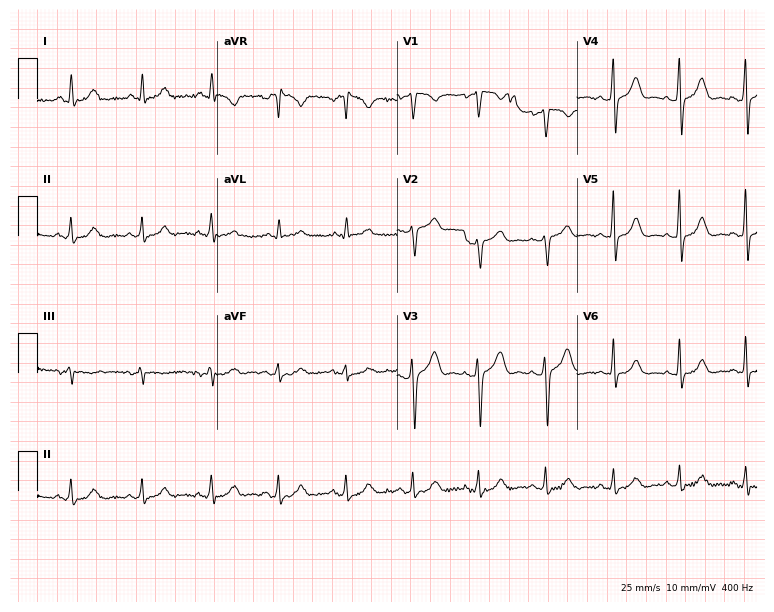
12-lead ECG from a woman, 39 years old (7.3-second recording at 400 Hz). No first-degree AV block, right bundle branch block (RBBB), left bundle branch block (LBBB), sinus bradycardia, atrial fibrillation (AF) or sinus tachycardia recorded for this tracing.